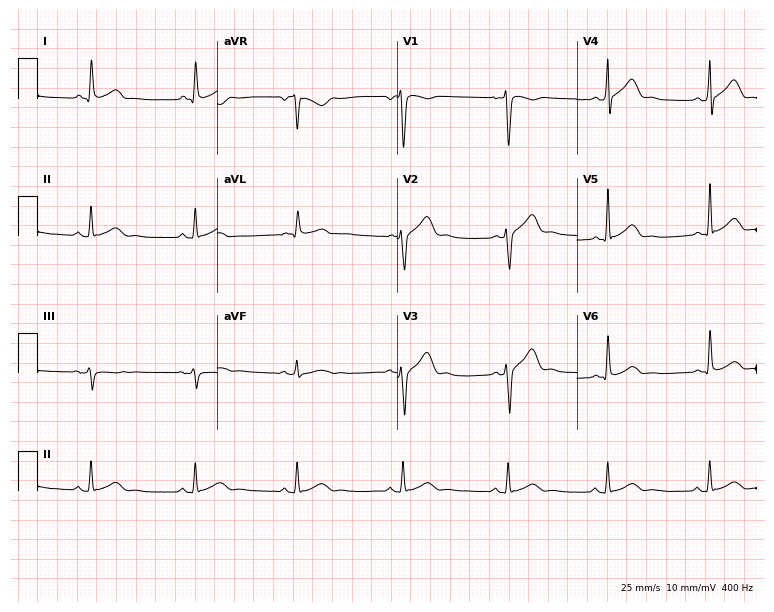
Standard 12-lead ECG recorded from a man, 33 years old. None of these six findings is recorded: first-degree AV block, right bundle branch block (RBBB), left bundle branch block (LBBB), sinus bradycardia, atrial fibrillation (AF), sinus tachycardia.